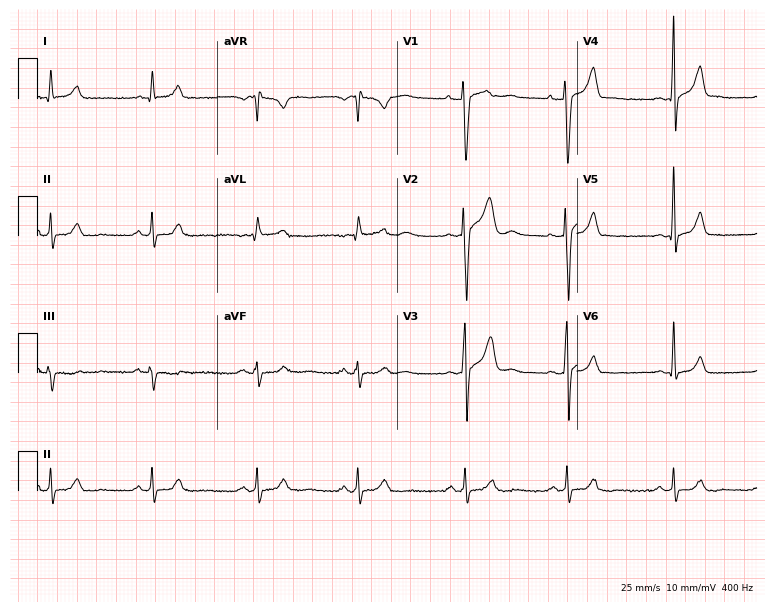
ECG (7.3-second recording at 400 Hz) — a 28-year-old man. Screened for six findings — first-degree AV block, right bundle branch block (RBBB), left bundle branch block (LBBB), sinus bradycardia, atrial fibrillation (AF), sinus tachycardia — none is recorded.